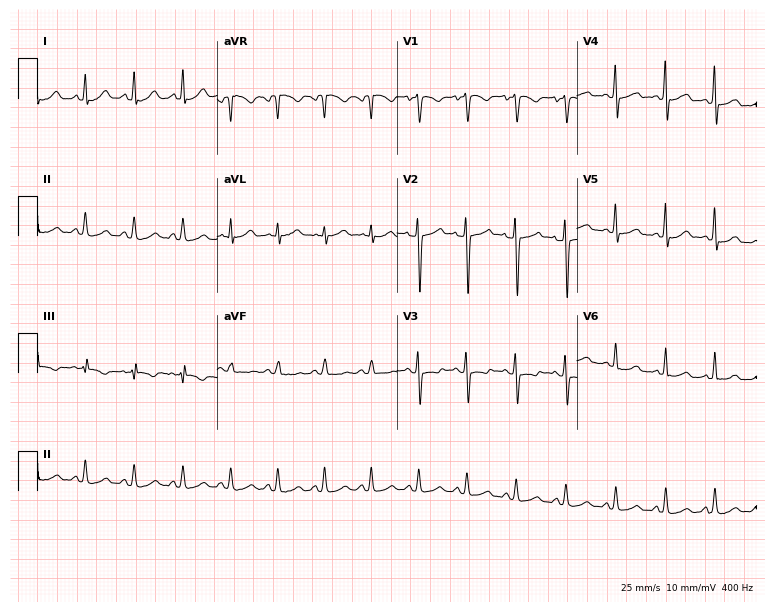
Resting 12-lead electrocardiogram. Patient: a 28-year-old female. The tracing shows sinus tachycardia (a sinus rate of 100 beats per minute or more).